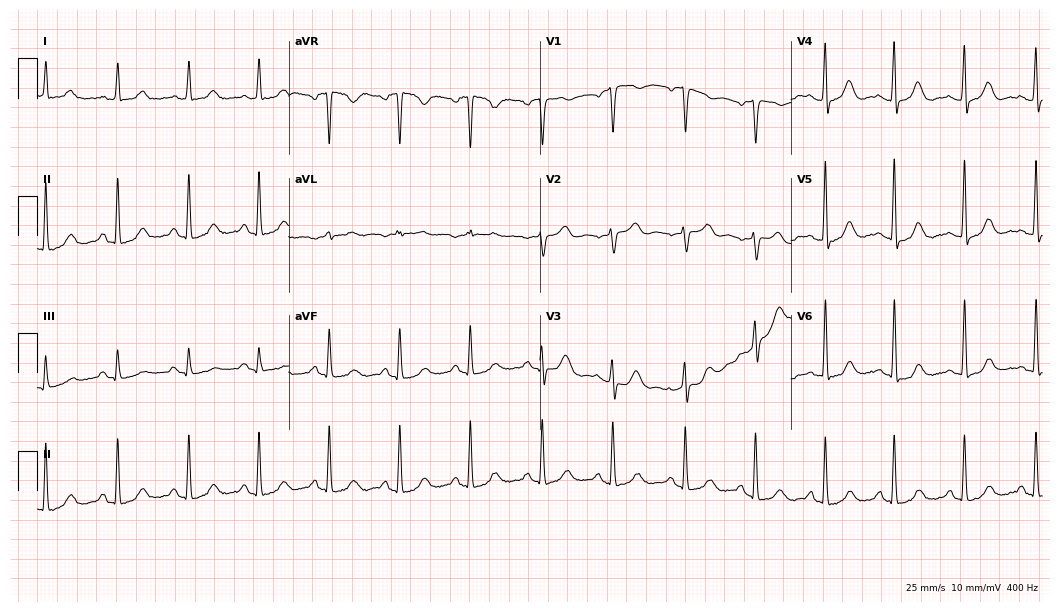
12-lead ECG (10.2-second recording at 400 Hz) from a female patient, 73 years old. Screened for six findings — first-degree AV block, right bundle branch block (RBBB), left bundle branch block (LBBB), sinus bradycardia, atrial fibrillation (AF), sinus tachycardia — none is recorded. Findings outside these six are not listed.